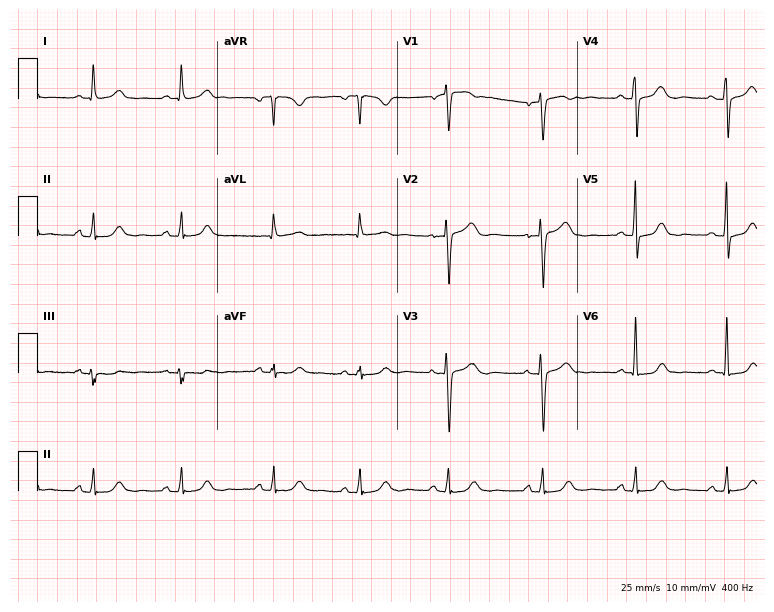
12-lead ECG from a 66-year-old female (7.3-second recording at 400 Hz). Recorded interpretation: within normal limits.